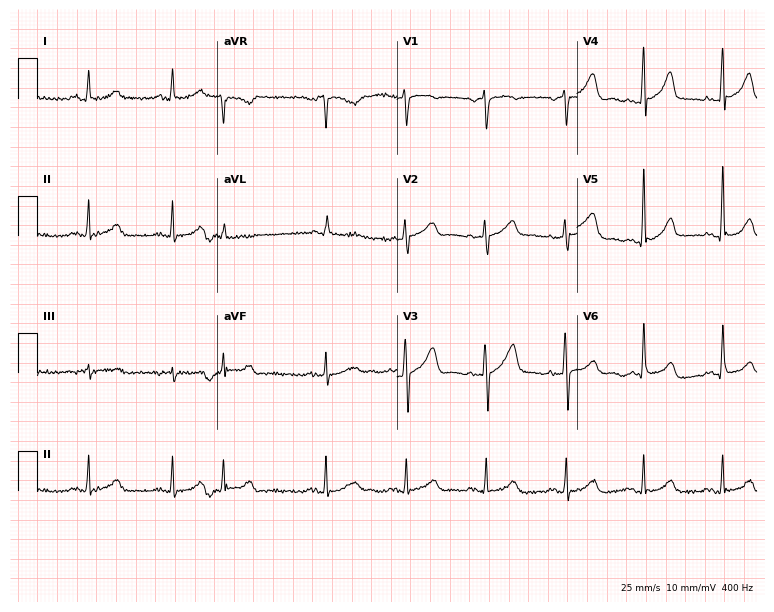
ECG — a 60-year-old woman. Screened for six findings — first-degree AV block, right bundle branch block (RBBB), left bundle branch block (LBBB), sinus bradycardia, atrial fibrillation (AF), sinus tachycardia — none is recorded. Findings outside these six are not listed.